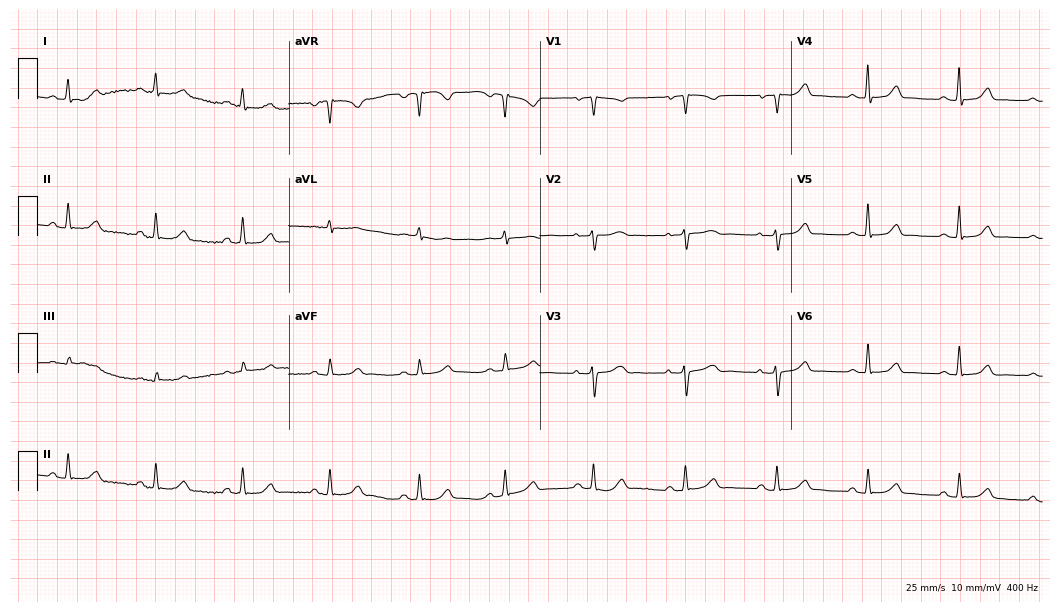
ECG — a 43-year-old female. Labelled as a normal ECG.